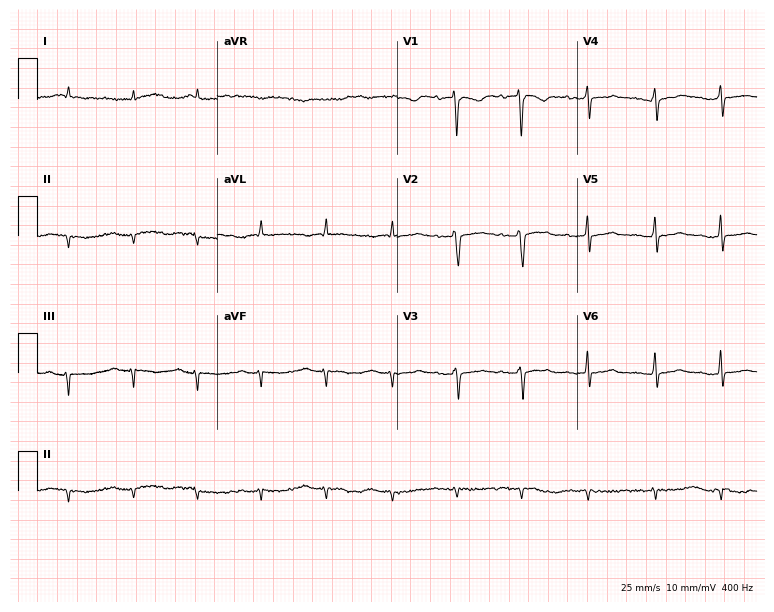
Standard 12-lead ECG recorded from a female patient, 40 years old. None of these six findings is recorded: first-degree AV block, right bundle branch block, left bundle branch block, sinus bradycardia, atrial fibrillation, sinus tachycardia.